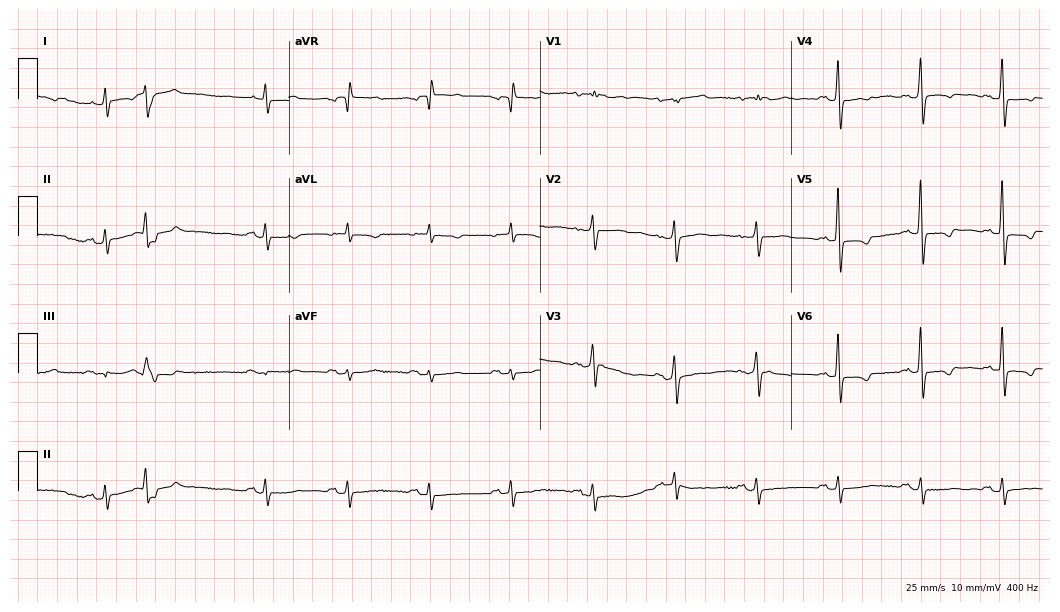
12-lead ECG from a woman, 81 years old (10.2-second recording at 400 Hz). No first-degree AV block, right bundle branch block, left bundle branch block, sinus bradycardia, atrial fibrillation or sinus tachycardia recorded for this tracing.